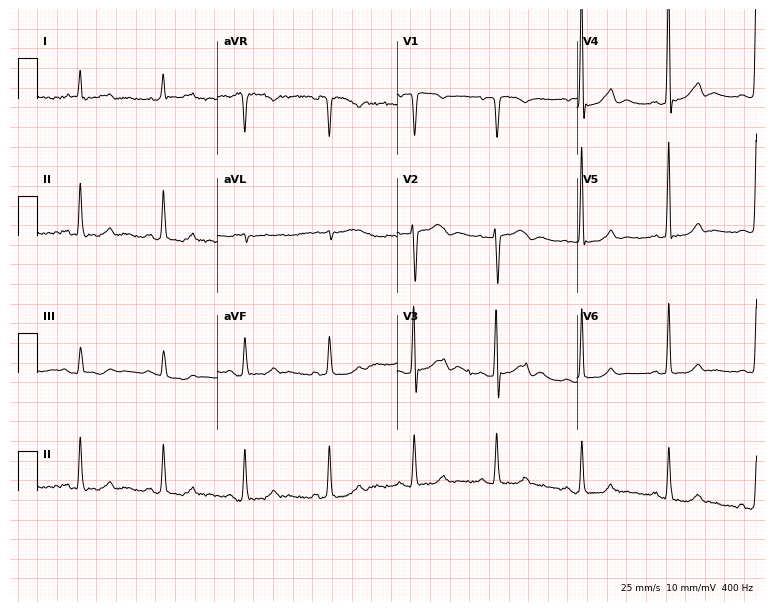
12-lead ECG from a female, 58 years old. Screened for six findings — first-degree AV block, right bundle branch block, left bundle branch block, sinus bradycardia, atrial fibrillation, sinus tachycardia — none is recorded.